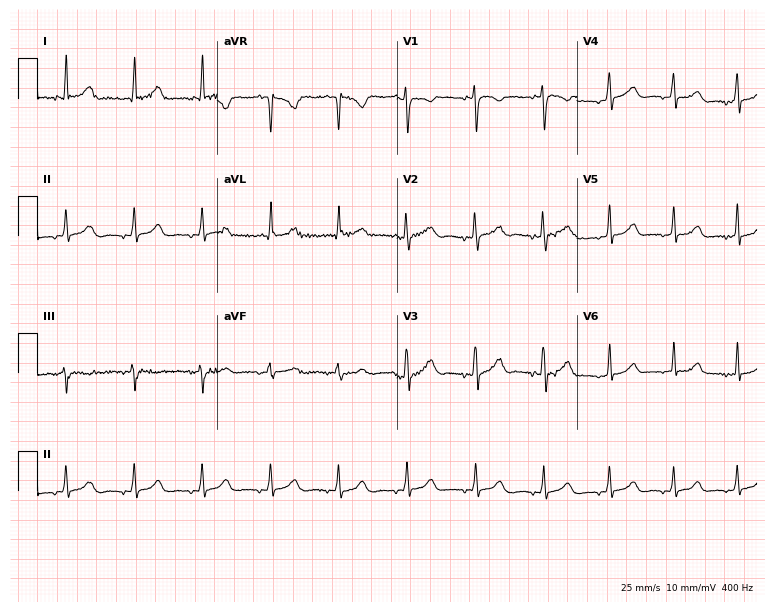
Electrocardiogram, a woman, 27 years old. Of the six screened findings (first-degree AV block, right bundle branch block (RBBB), left bundle branch block (LBBB), sinus bradycardia, atrial fibrillation (AF), sinus tachycardia), none is recorded.